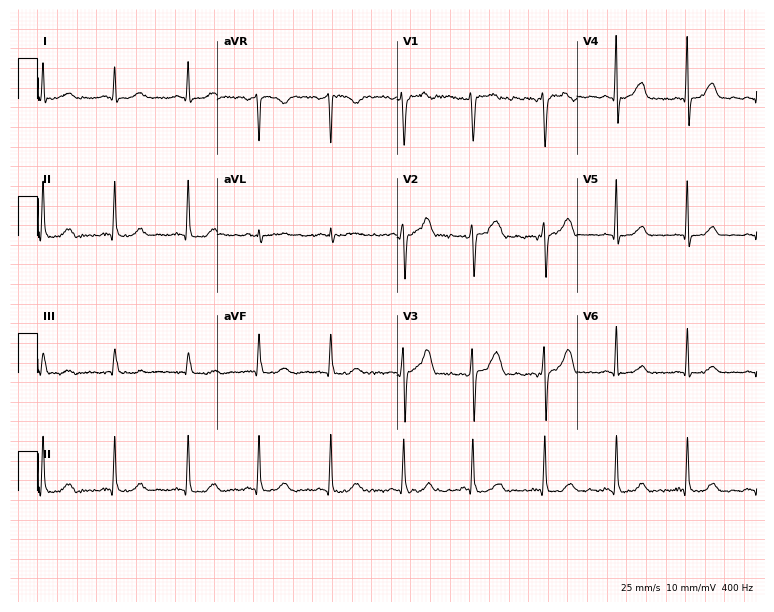
12-lead ECG (7.3-second recording at 400 Hz) from a 45-year-old female patient. Labelled as a normal ECG.